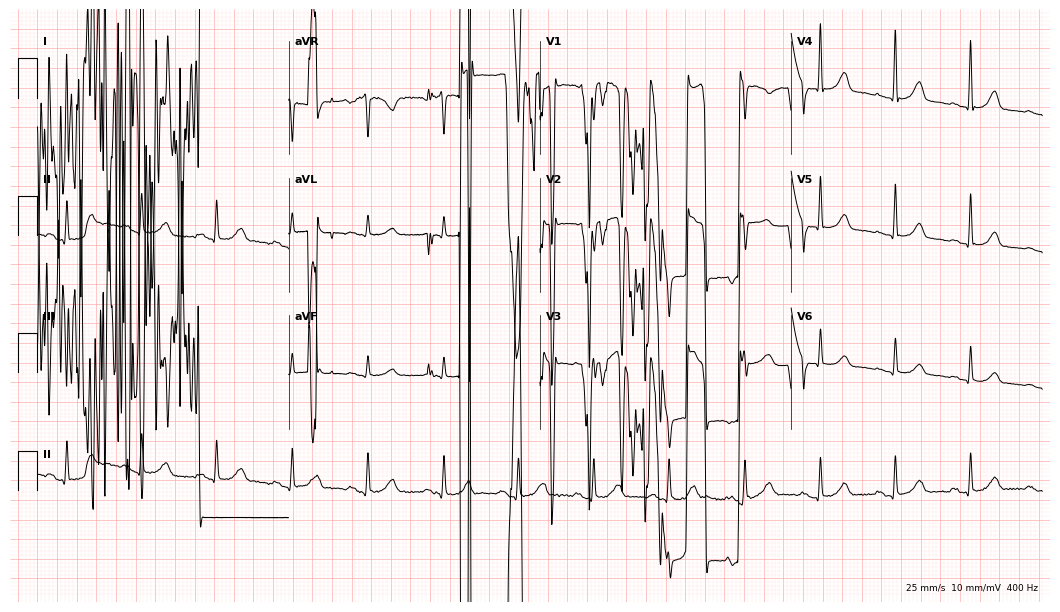
Resting 12-lead electrocardiogram (10.2-second recording at 400 Hz). Patient: a female, 74 years old. None of these six findings is recorded: first-degree AV block, right bundle branch block, left bundle branch block, sinus bradycardia, atrial fibrillation, sinus tachycardia.